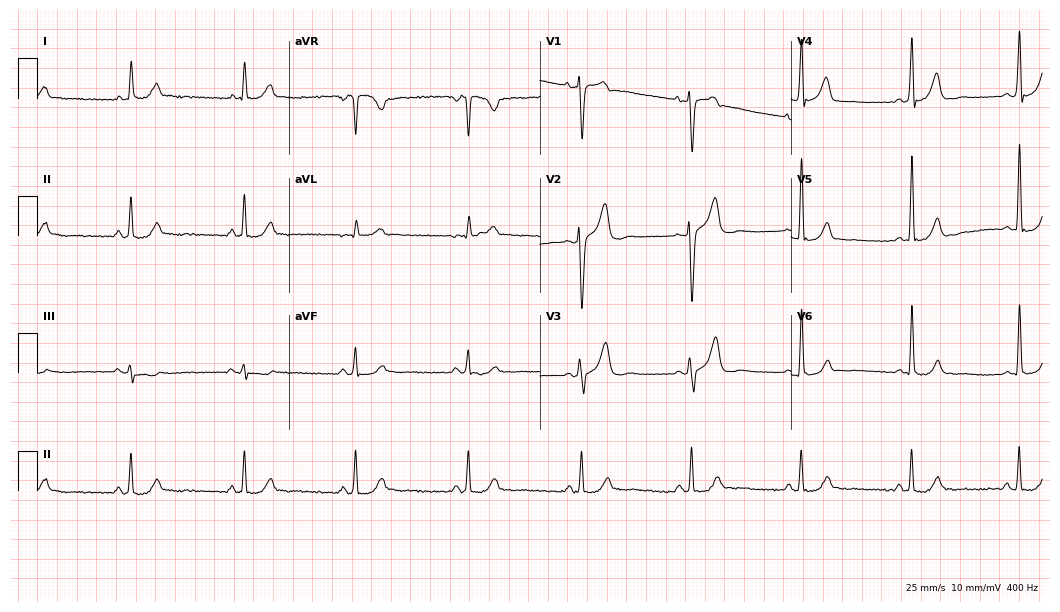
12-lead ECG from a 60-year-old male patient. Screened for six findings — first-degree AV block, right bundle branch block, left bundle branch block, sinus bradycardia, atrial fibrillation, sinus tachycardia — none is recorded.